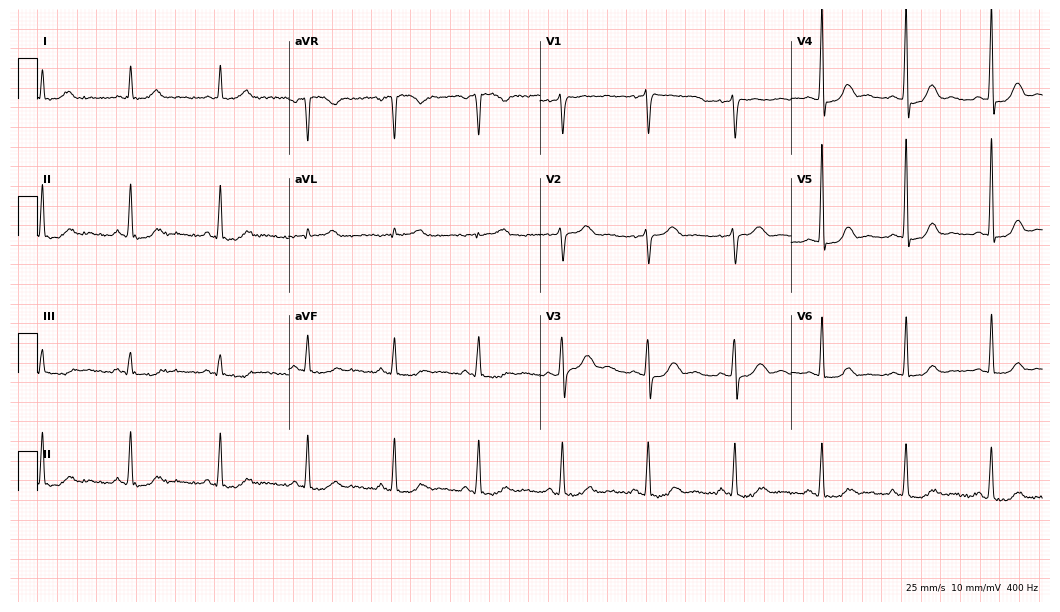
ECG (10.2-second recording at 400 Hz) — a female, 51 years old. Labelled as a normal ECG.